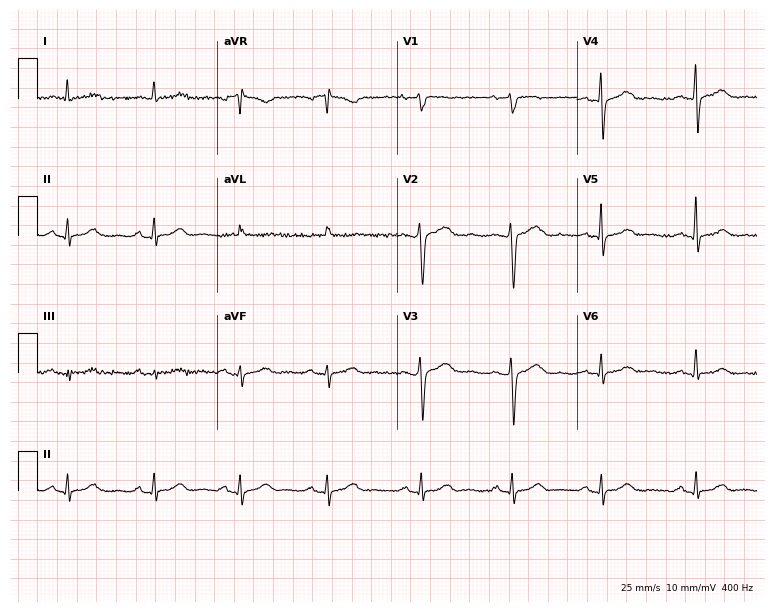
Electrocardiogram, a man, 76 years old. Overall reading on record: normal ECG.